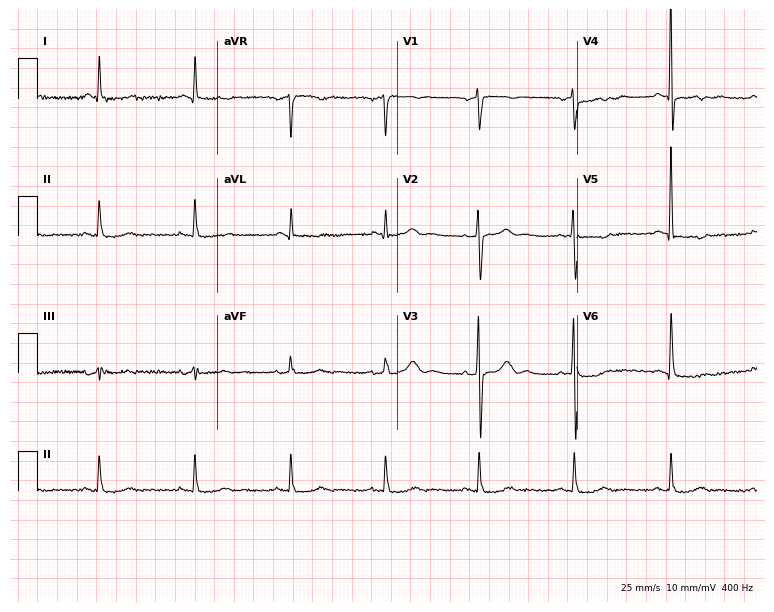
Standard 12-lead ECG recorded from a 69-year-old man (7.3-second recording at 400 Hz). None of these six findings is recorded: first-degree AV block, right bundle branch block (RBBB), left bundle branch block (LBBB), sinus bradycardia, atrial fibrillation (AF), sinus tachycardia.